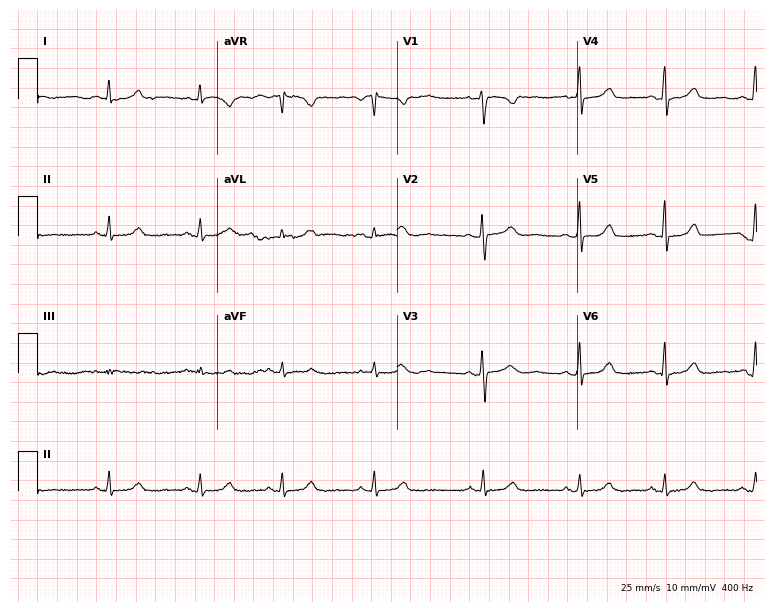
Resting 12-lead electrocardiogram (7.3-second recording at 400 Hz). Patient: a 29-year-old female. Read as a normal ECG.